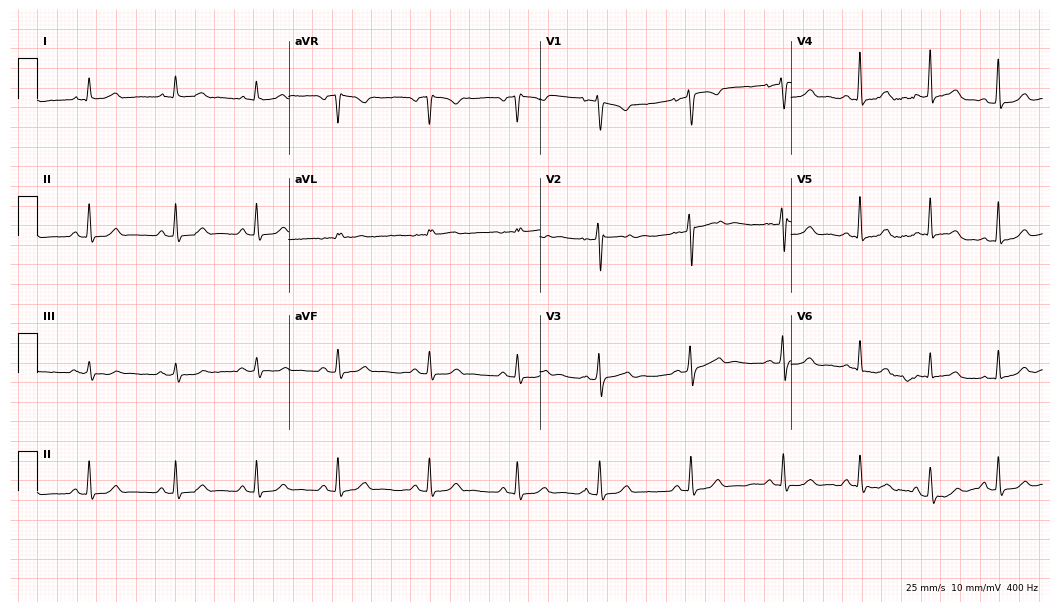
ECG — a woman, 27 years old. Labelled as a normal ECG.